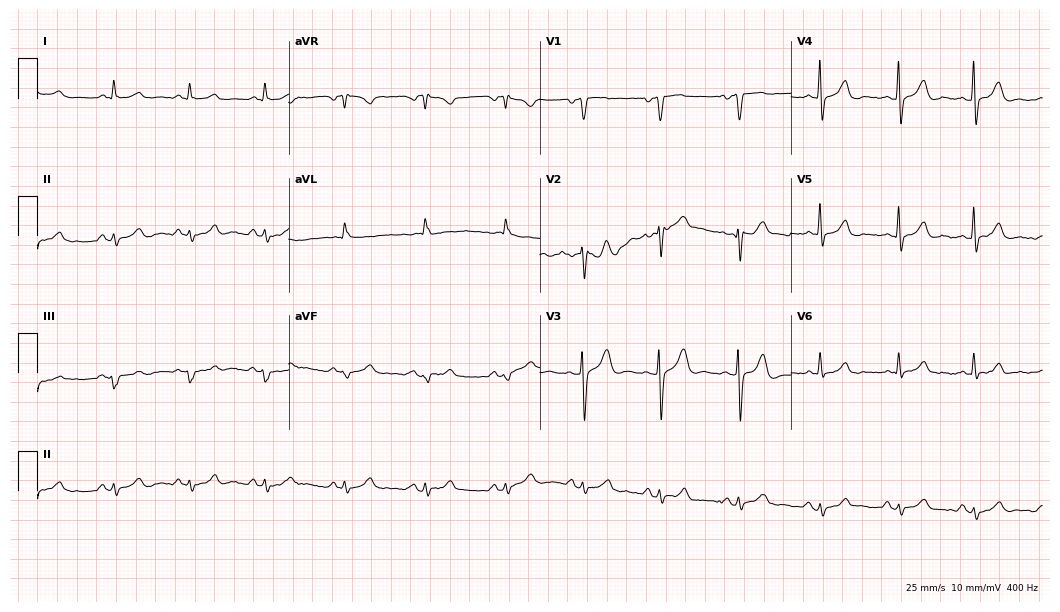
Standard 12-lead ECG recorded from a man, 46 years old. Read as a normal ECG.